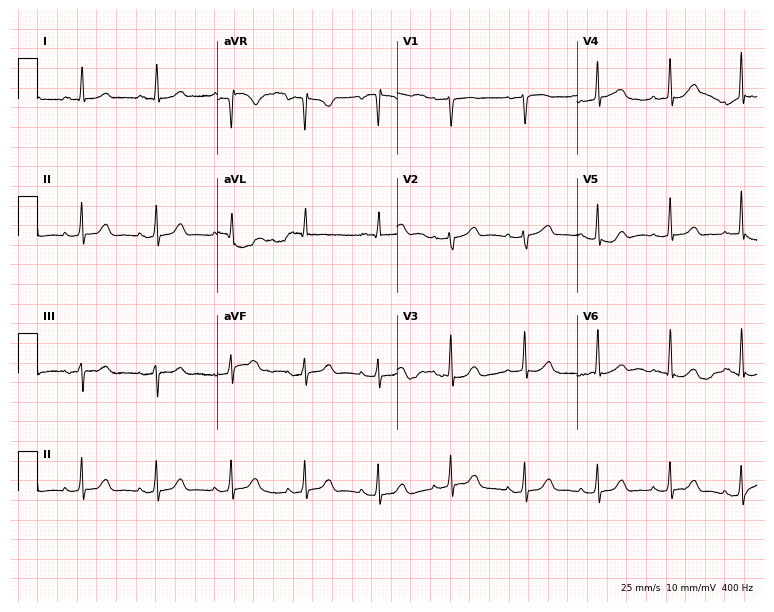
Electrocardiogram, a female, 70 years old. Of the six screened findings (first-degree AV block, right bundle branch block, left bundle branch block, sinus bradycardia, atrial fibrillation, sinus tachycardia), none is recorded. Other findings, if any, are not listed.